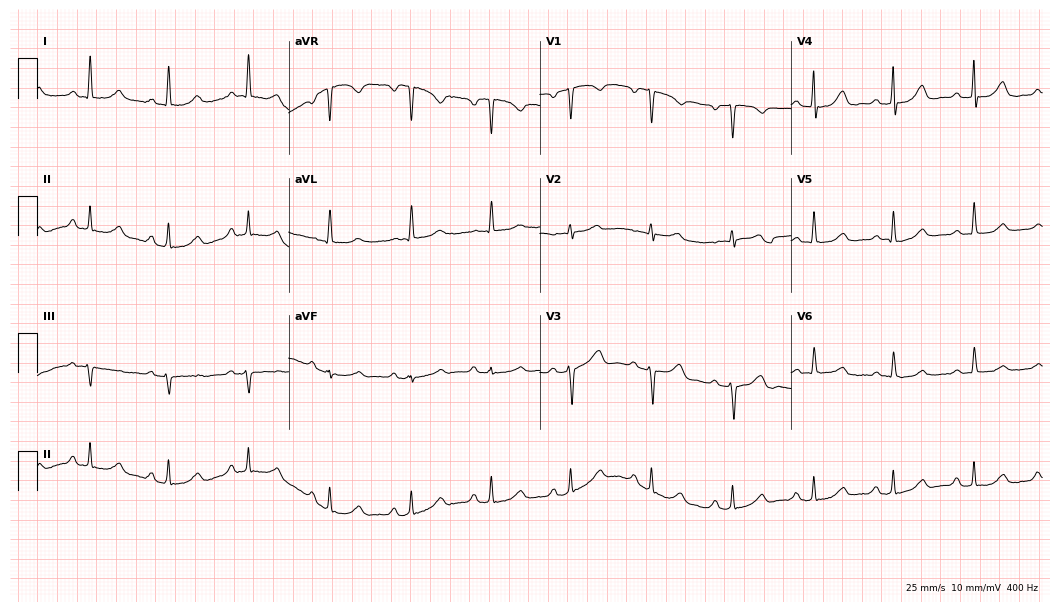
Electrocardiogram (10.2-second recording at 400 Hz), a female, 73 years old. Of the six screened findings (first-degree AV block, right bundle branch block, left bundle branch block, sinus bradycardia, atrial fibrillation, sinus tachycardia), none is recorded. Only these six findings were labelled.